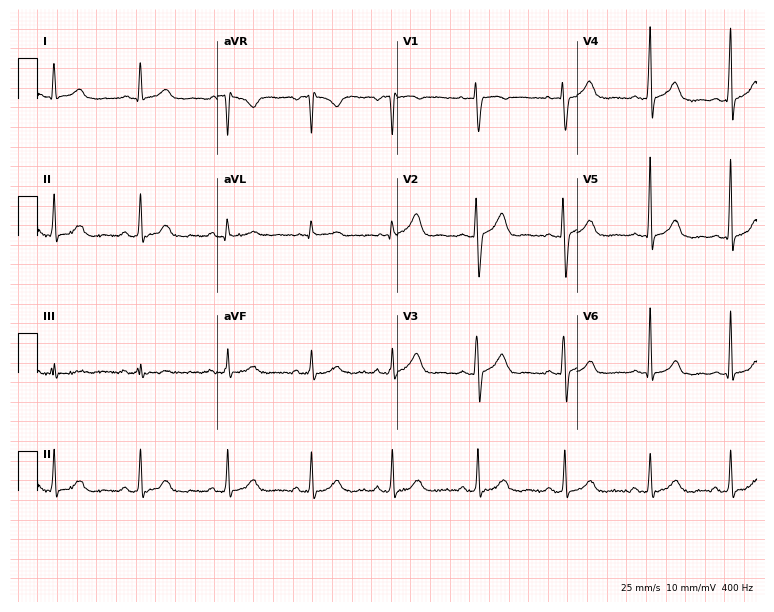
12-lead ECG from a woman, 25 years old. Labelled as a normal ECG.